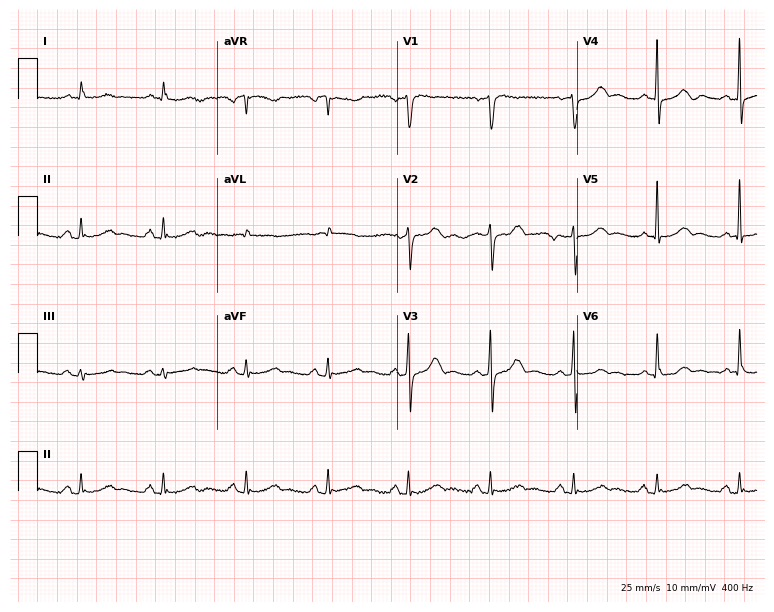
Resting 12-lead electrocardiogram. Patient: a male, 77 years old. None of these six findings is recorded: first-degree AV block, right bundle branch block, left bundle branch block, sinus bradycardia, atrial fibrillation, sinus tachycardia. Findings outside these six are not listed.